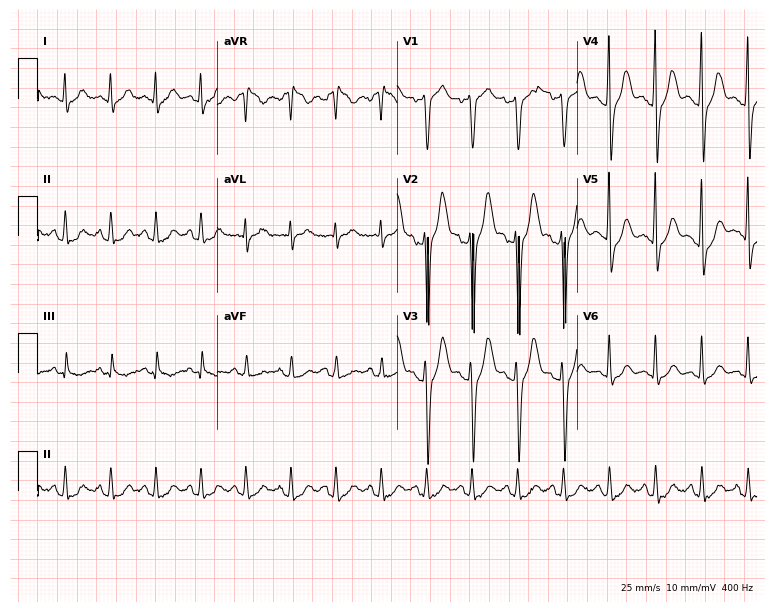
Standard 12-lead ECG recorded from a 56-year-old male. The tracing shows sinus tachycardia (a sinus rate of 100 beats per minute or more).